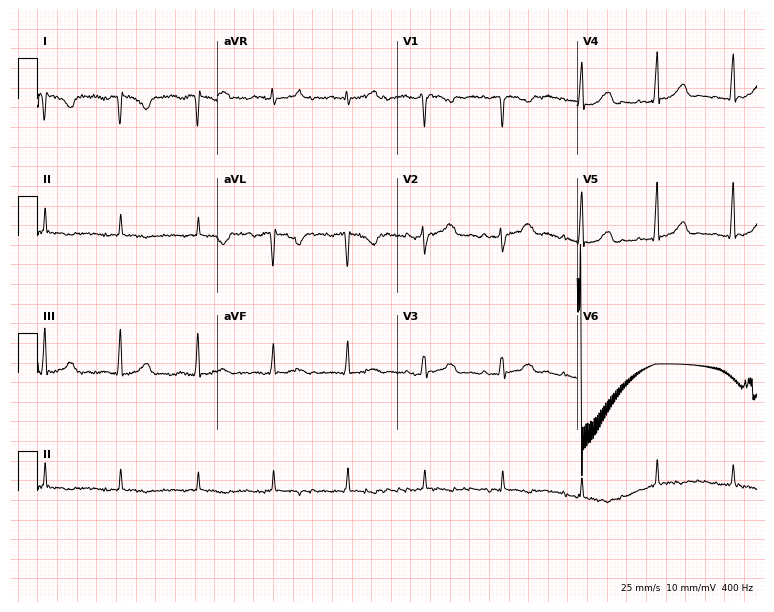
ECG — a 40-year-old female. Screened for six findings — first-degree AV block, right bundle branch block, left bundle branch block, sinus bradycardia, atrial fibrillation, sinus tachycardia — none is recorded.